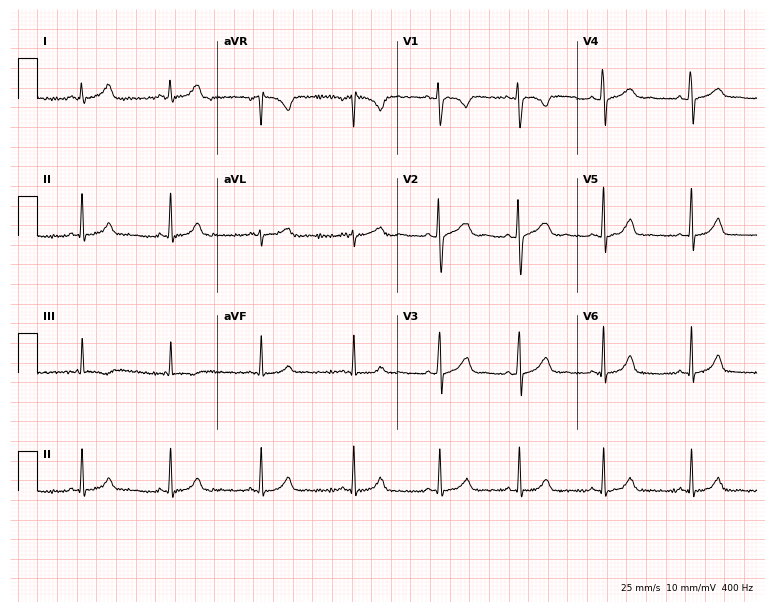
ECG (7.3-second recording at 400 Hz) — a female patient, 21 years old. Labelled as a normal ECG.